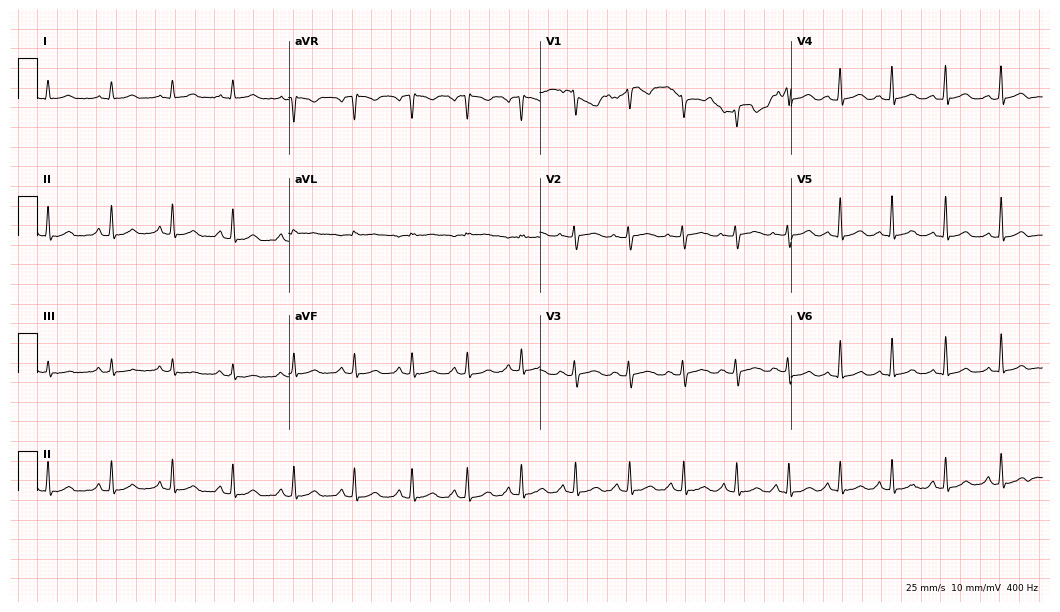
12-lead ECG from a woman, 33 years old. Recorded interpretation: within normal limits.